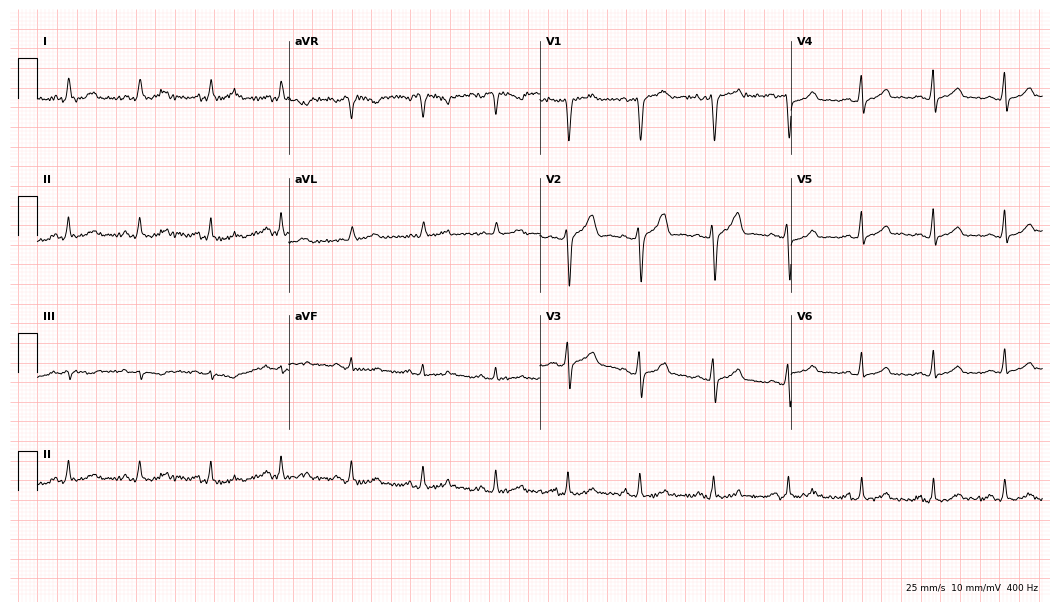
Resting 12-lead electrocardiogram (10.2-second recording at 400 Hz). Patient: a 37-year-old male. Read as a normal ECG.